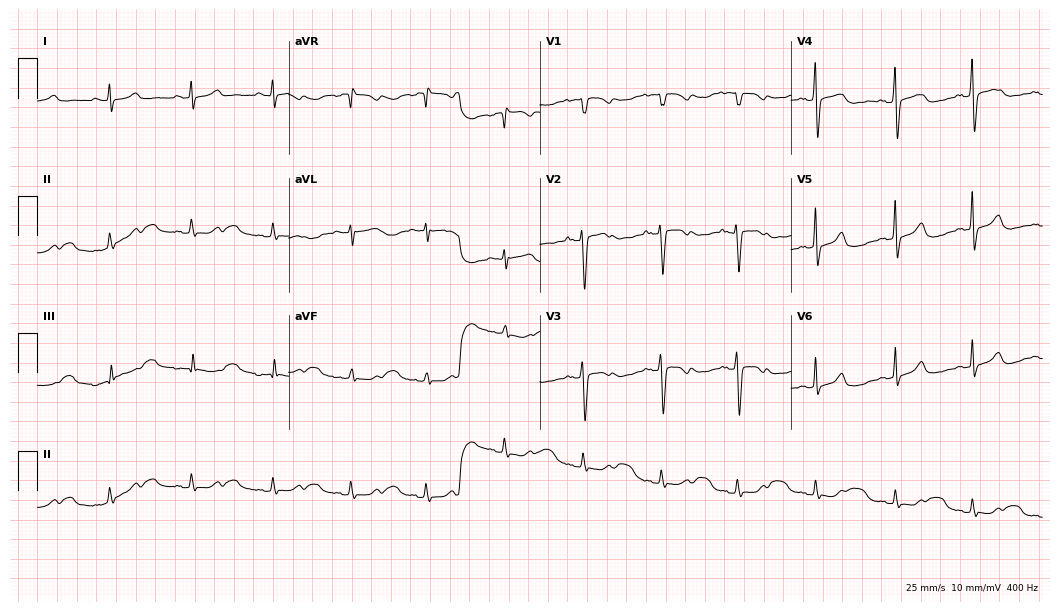
12-lead ECG from a 27-year-old woman (10.2-second recording at 400 Hz). Recorded interpretation: within normal limits.